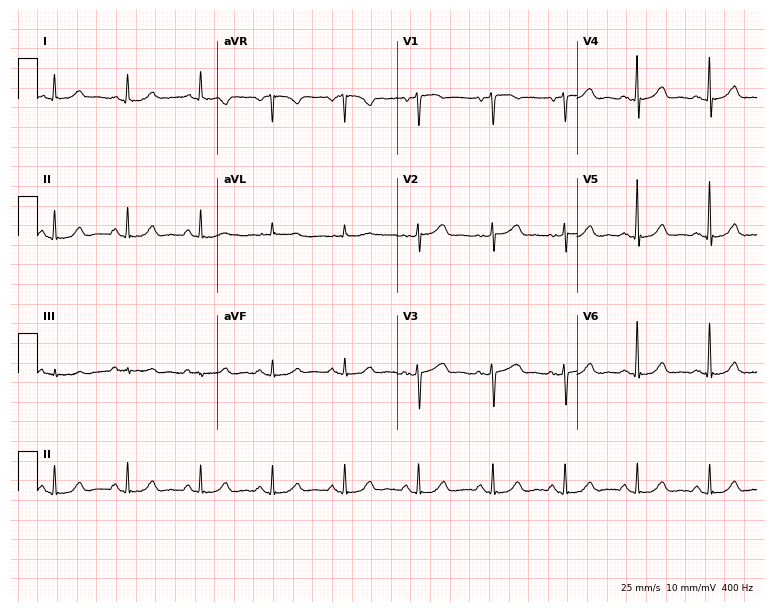
12-lead ECG from a 64-year-old female patient (7.3-second recording at 400 Hz). Recorded interpretation: within normal limits.